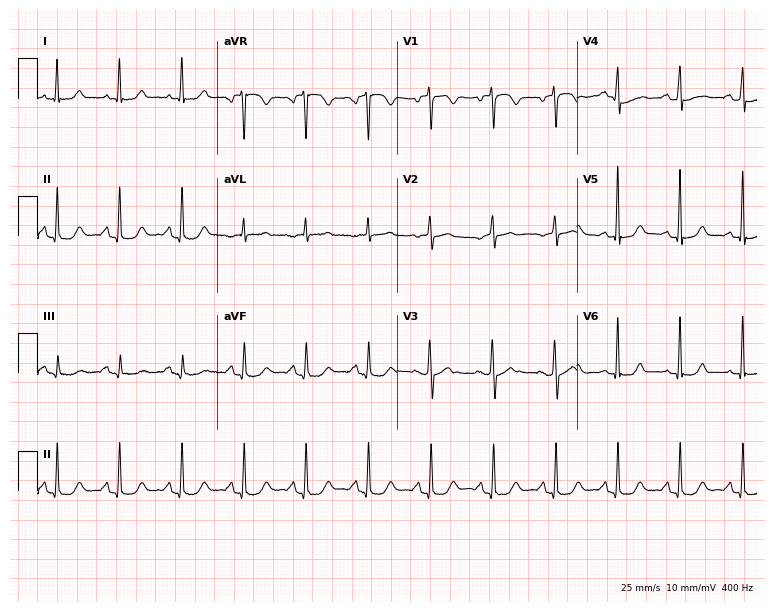
Standard 12-lead ECG recorded from a woman, 64 years old. None of these six findings is recorded: first-degree AV block, right bundle branch block (RBBB), left bundle branch block (LBBB), sinus bradycardia, atrial fibrillation (AF), sinus tachycardia.